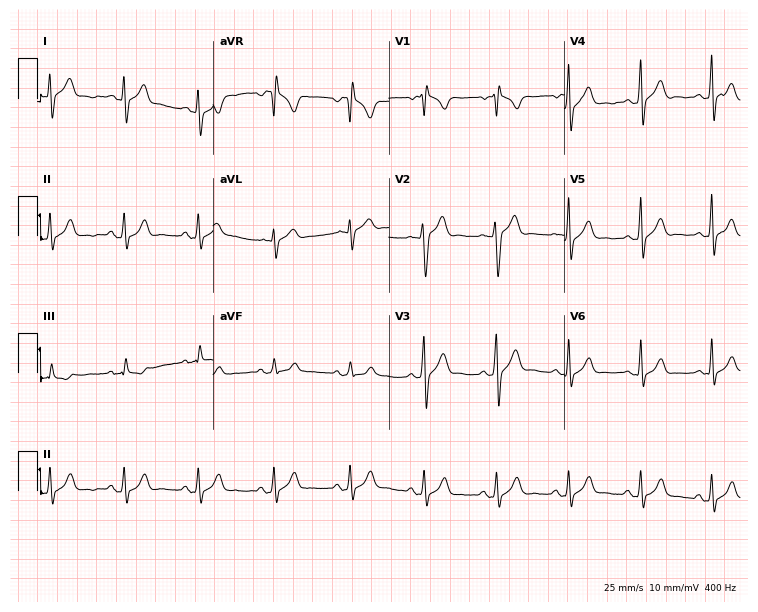
Electrocardiogram, a 23-year-old male. Of the six screened findings (first-degree AV block, right bundle branch block, left bundle branch block, sinus bradycardia, atrial fibrillation, sinus tachycardia), none is recorded.